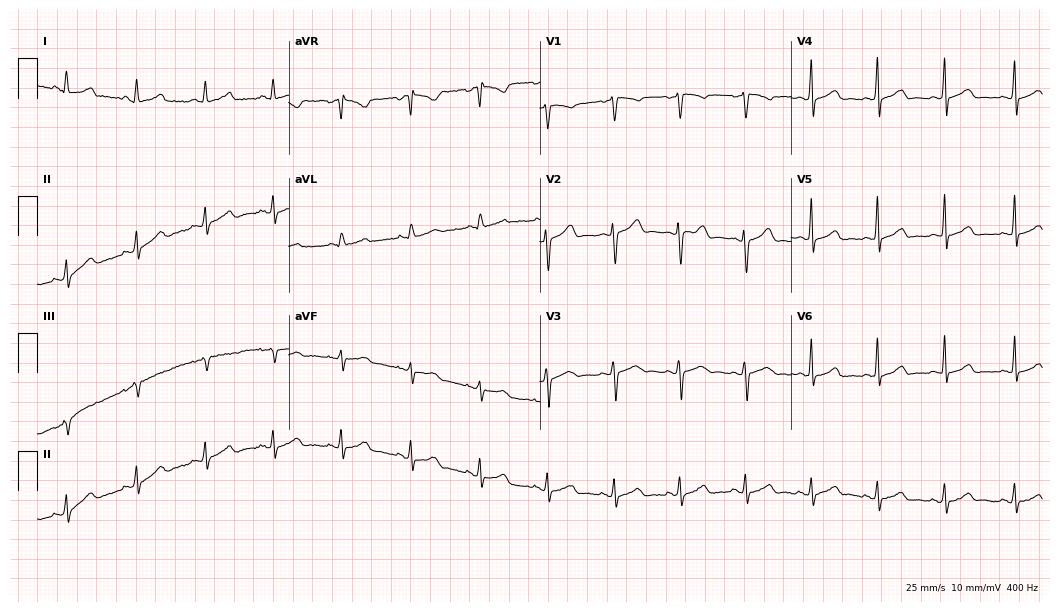
ECG — a female, 26 years old. Labelled as a normal ECG.